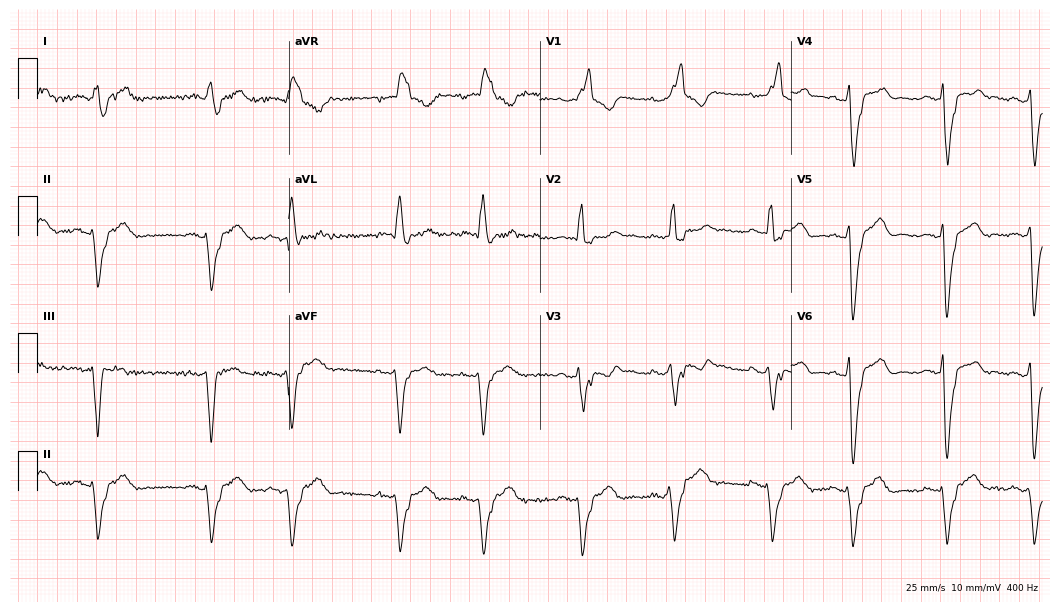
Electrocardiogram, a man, 73 years old. Interpretation includes right bundle branch block (RBBB).